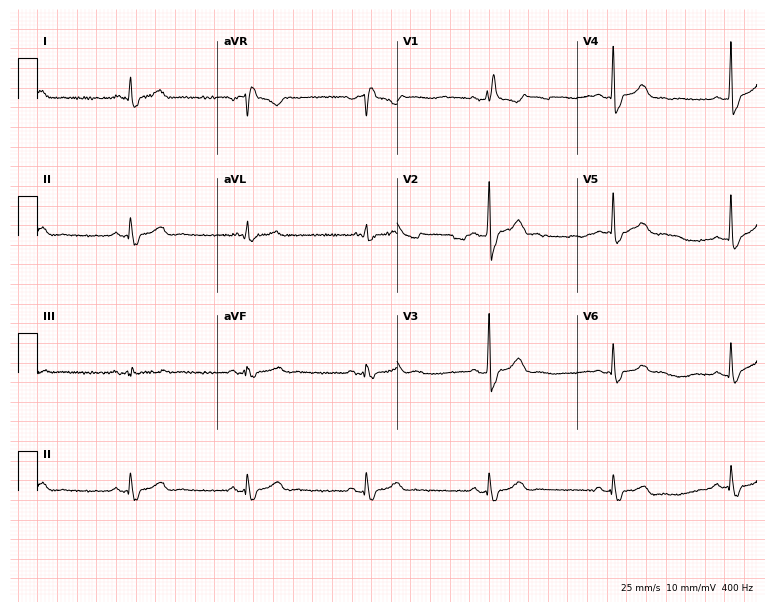
Electrocardiogram (7.3-second recording at 400 Hz), a male, 73 years old. Interpretation includes right bundle branch block (RBBB), sinus bradycardia (a sinus rate of 50 beats per minute or less).